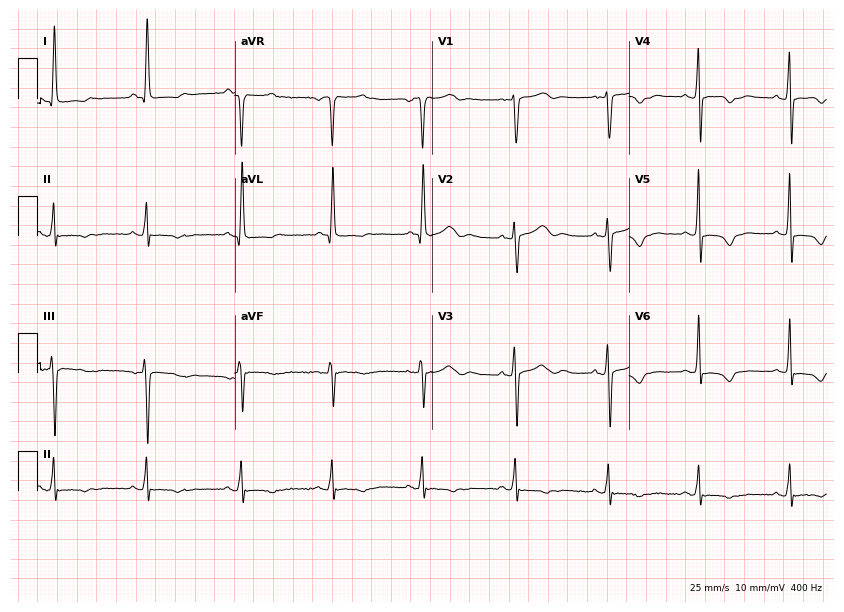
Standard 12-lead ECG recorded from a female patient, 67 years old. None of these six findings is recorded: first-degree AV block, right bundle branch block, left bundle branch block, sinus bradycardia, atrial fibrillation, sinus tachycardia. Only these six findings were labelled.